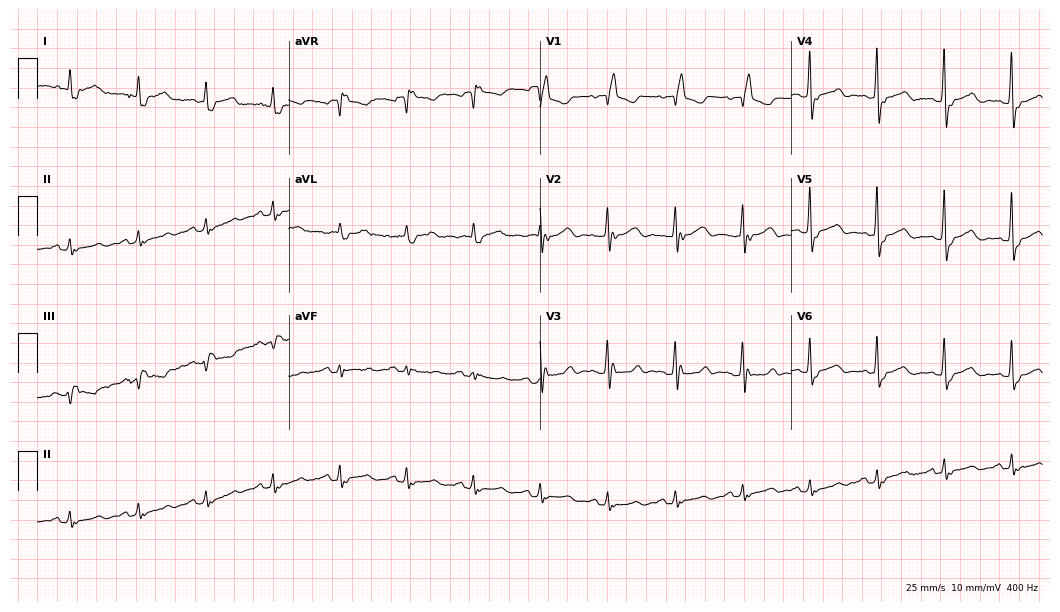
12-lead ECG (10.2-second recording at 400 Hz) from a woman, 83 years old. Findings include right bundle branch block.